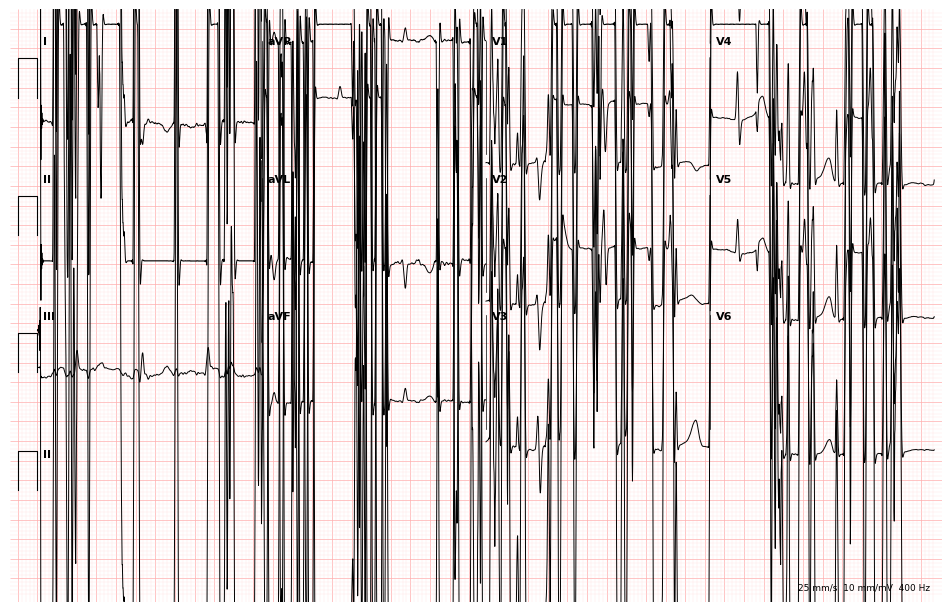
ECG (9.1-second recording at 400 Hz) — a female, 78 years old. Screened for six findings — first-degree AV block, right bundle branch block, left bundle branch block, sinus bradycardia, atrial fibrillation, sinus tachycardia — none is recorded. Only these six findings were labelled.